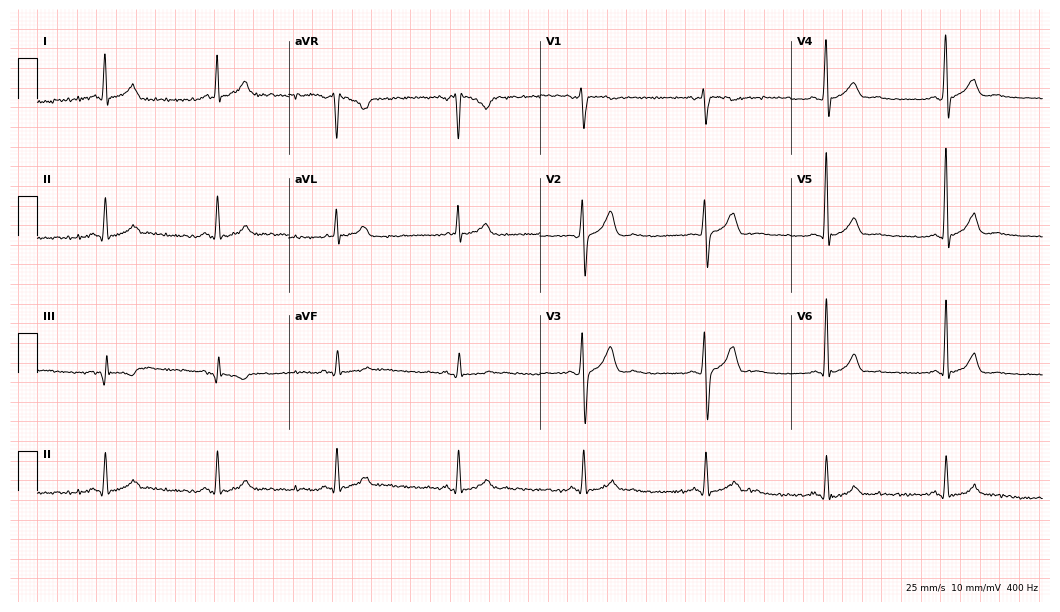
Resting 12-lead electrocardiogram. Patient: a male, 34 years old. Read as a normal ECG.